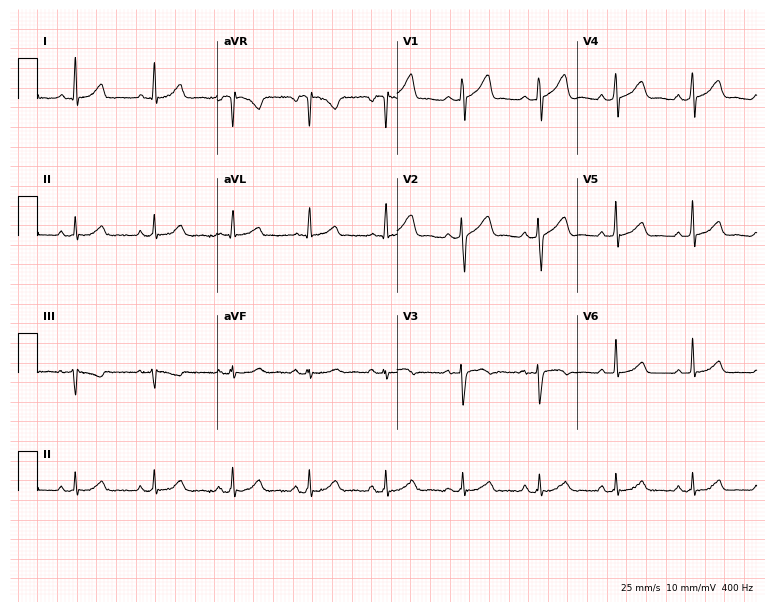
Resting 12-lead electrocardiogram (7.3-second recording at 400 Hz). Patient: a female, 45 years old. Read as a normal ECG.